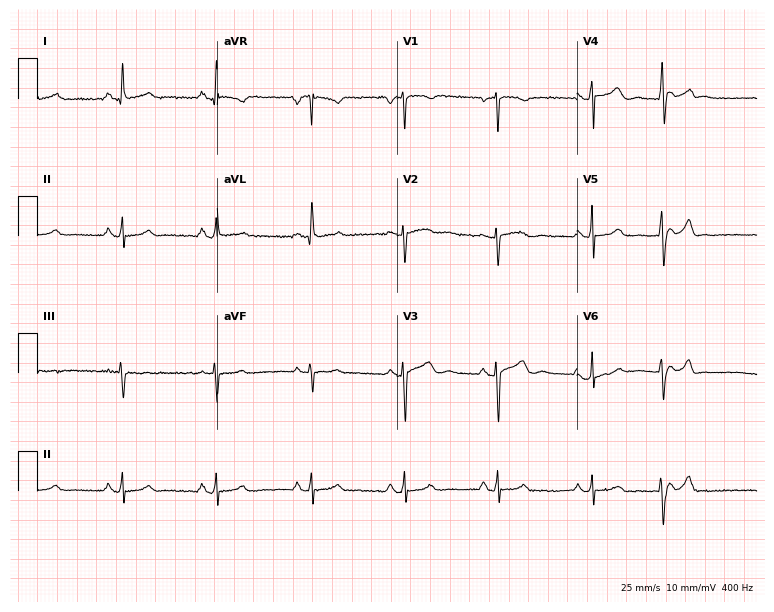
12-lead ECG (7.3-second recording at 400 Hz) from a female patient, 35 years old. Screened for six findings — first-degree AV block, right bundle branch block, left bundle branch block, sinus bradycardia, atrial fibrillation, sinus tachycardia — none is recorded. Only these six findings were labelled.